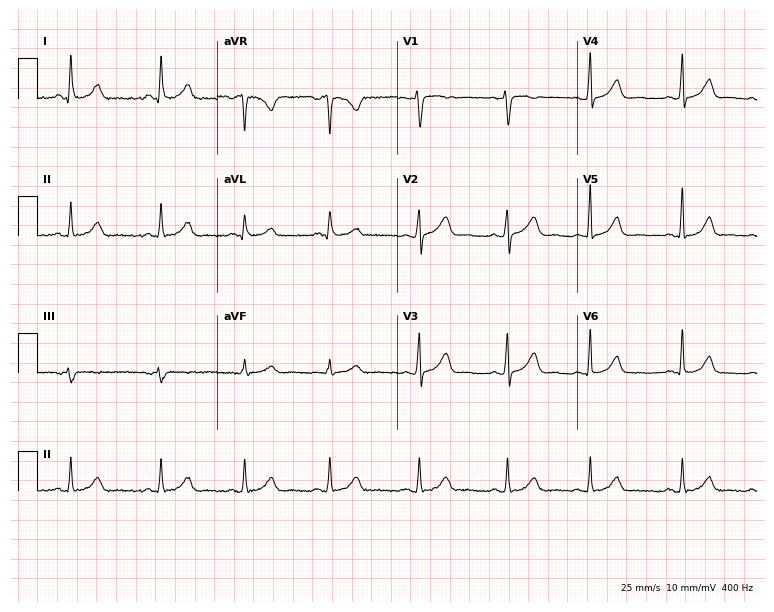
ECG — a female patient, 40 years old. Screened for six findings — first-degree AV block, right bundle branch block, left bundle branch block, sinus bradycardia, atrial fibrillation, sinus tachycardia — none is recorded.